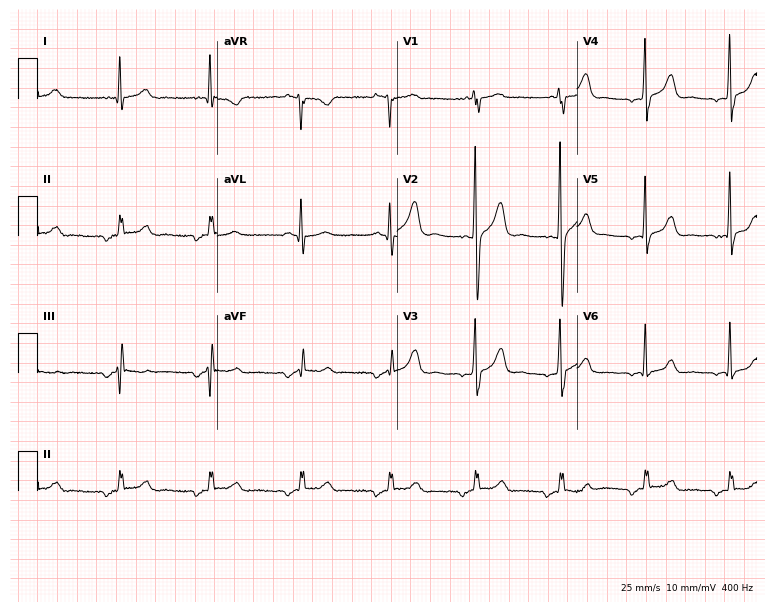
12-lead ECG from a man, 40 years old (7.3-second recording at 400 Hz). No first-degree AV block, right bundle branch block, left bundle branch block, sinus bradycardia, atrial fibrillation or sinus tachycardia recorded for this tracing. Other findings, if any, are not listed.